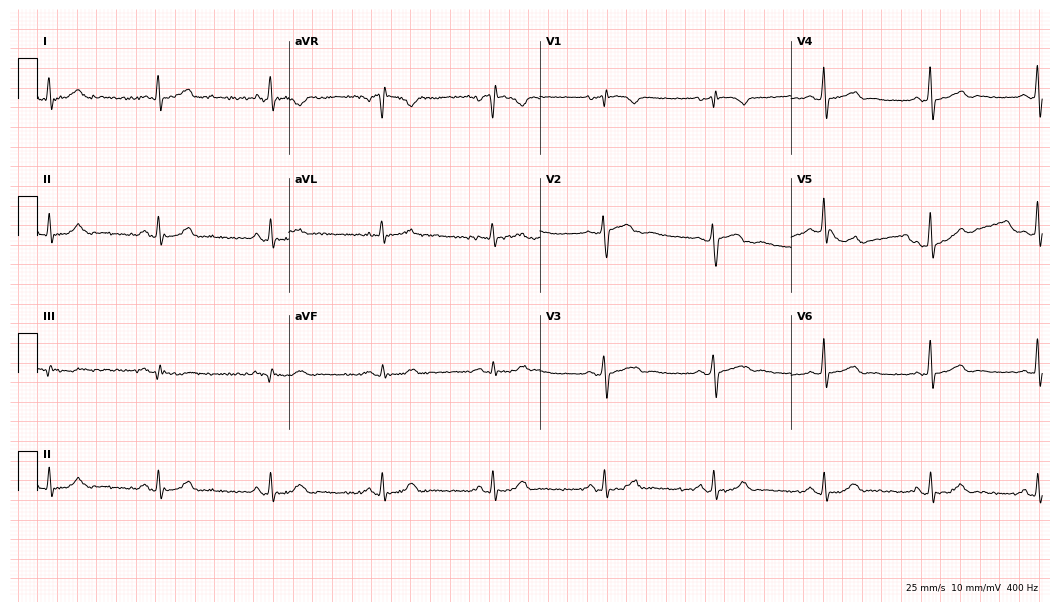
Electrocardiogram, a female patient, 51 years old. Of the six screened findings (first-degree AV block, right bundle branch block, left bundle branch block, sinus bradycardia, atrial fibrillation, sinus tachycardia), none is recorded.